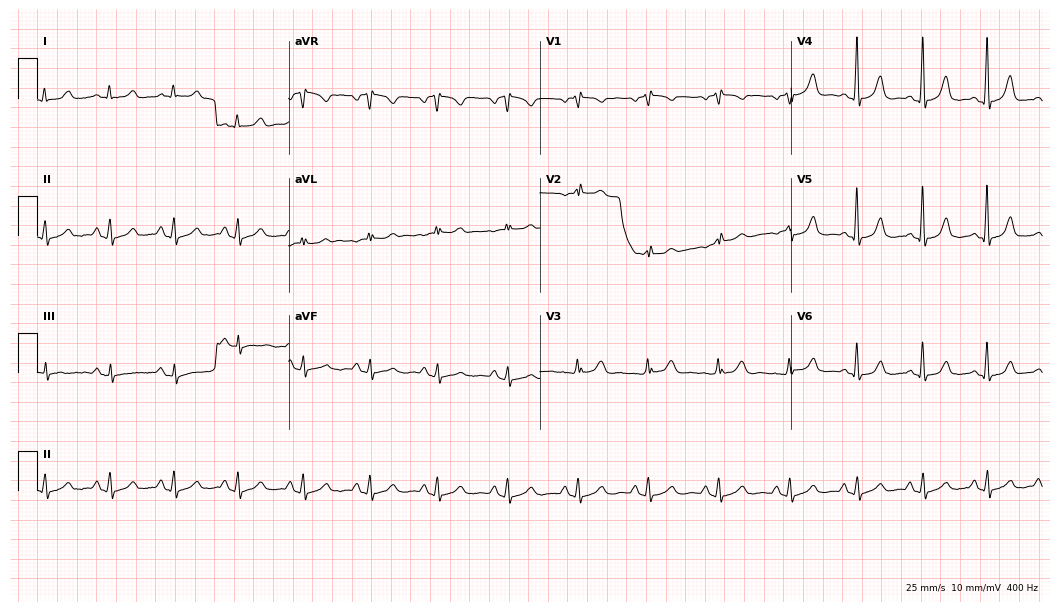
ECG — a woman, 47 years old. Screened for six findings — first-degree AV block, right bundle branch block, left bundle branch block, sinus bradycardia, atrial fibrillation, sinus tachycardia — none is recorded. Other findings, if any, are not listed.